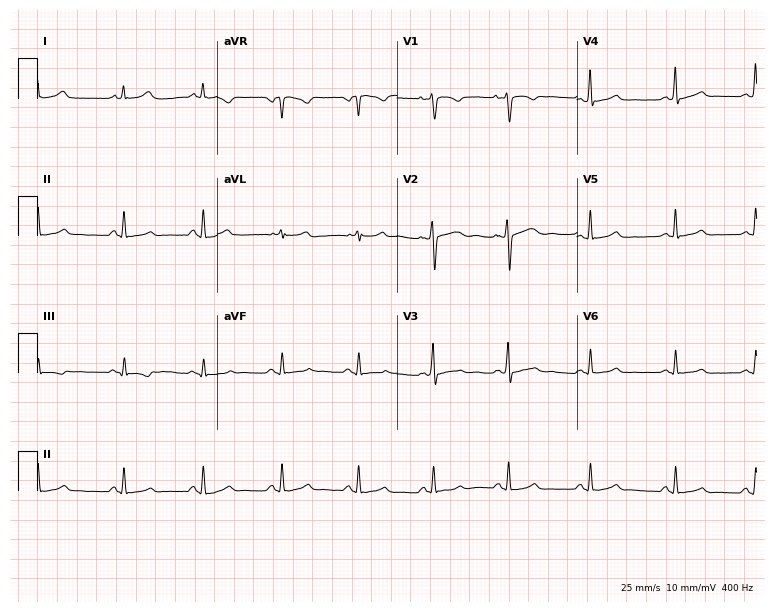
ECG — a female, 28 years old. Screened for six findings — first-degree AV block, right bundle branch block, left bundle branch block, sinus bradycardia, atrial fibrillation, sinus tachycardia — none is recorded.